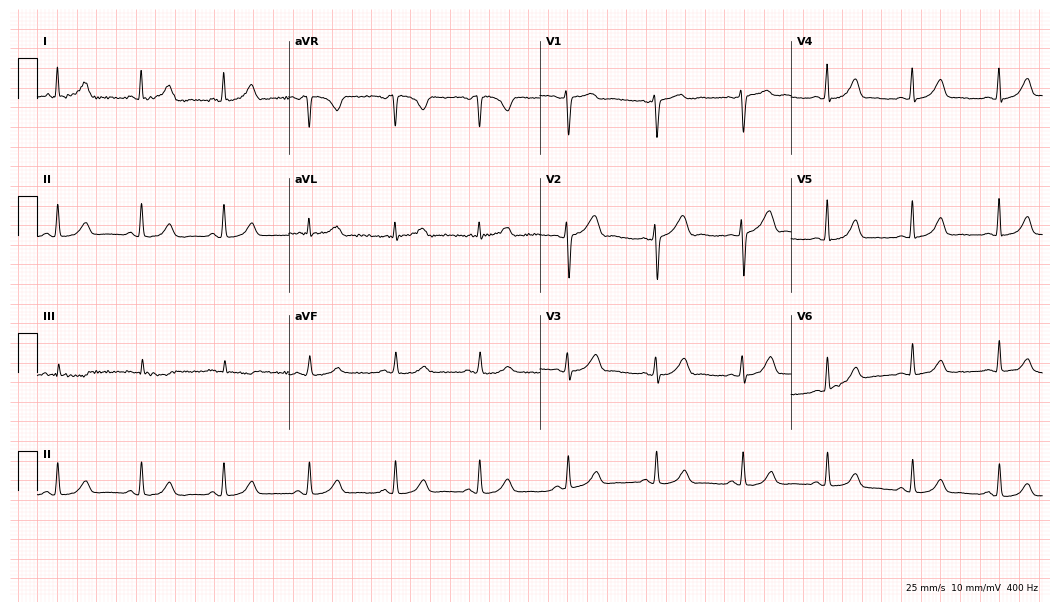
Electrocardiogram (10.2-second recording at 400 Hz), a woman, 41 years old. Overall reading on record: normal ECG.